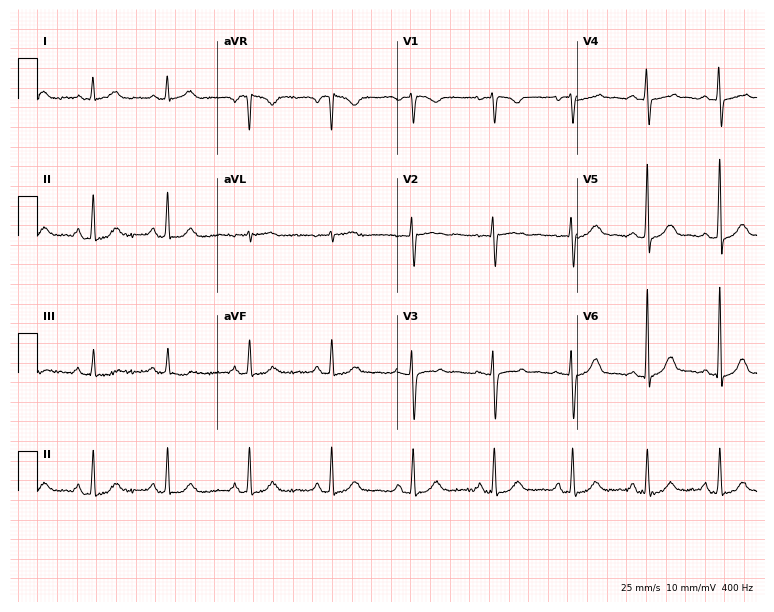
Resting 12-lead electrocardiogram (7.3-second recording at 400 Hz). Patient: a female, 19 years old. Read as a normal ECG.